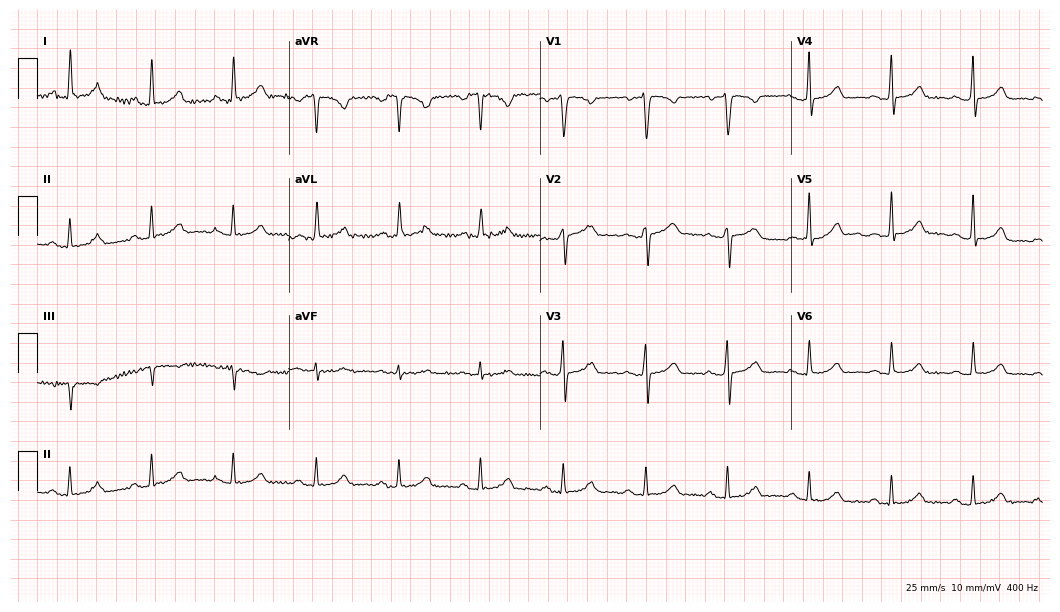
Electrocardiogram, a woman, 61 years old. Overall reading on record: normal ECG.